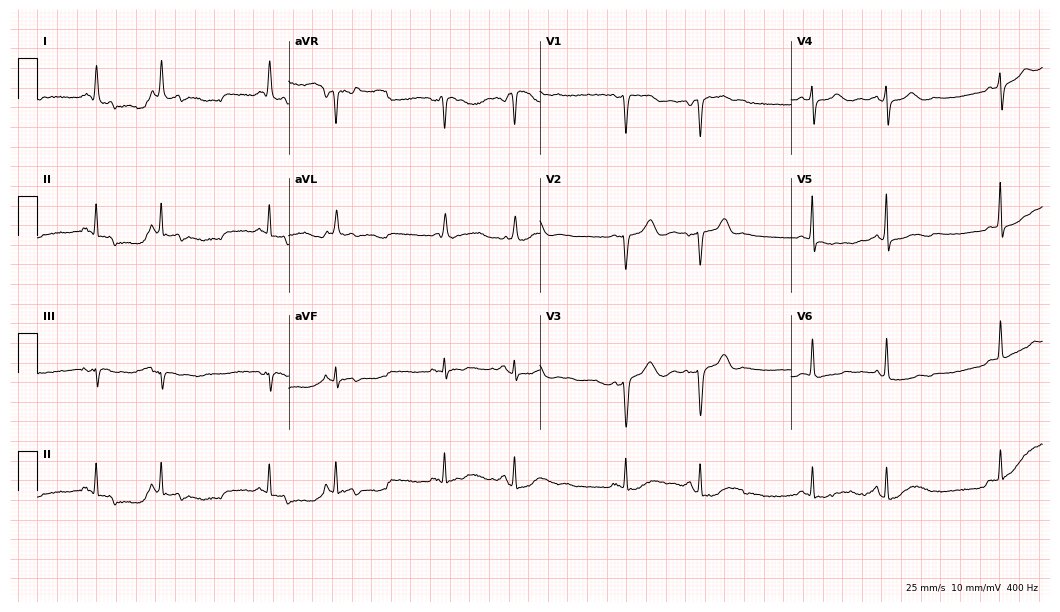
12-lead ECG from a 73-year-old female (10.2-second recording at 400 Hz). No first-degree AV block, right bundle branch block, left bundle branch block, sinus bradycardia, atrial fibrillation or sinus tachycardia recorded for this tracing.